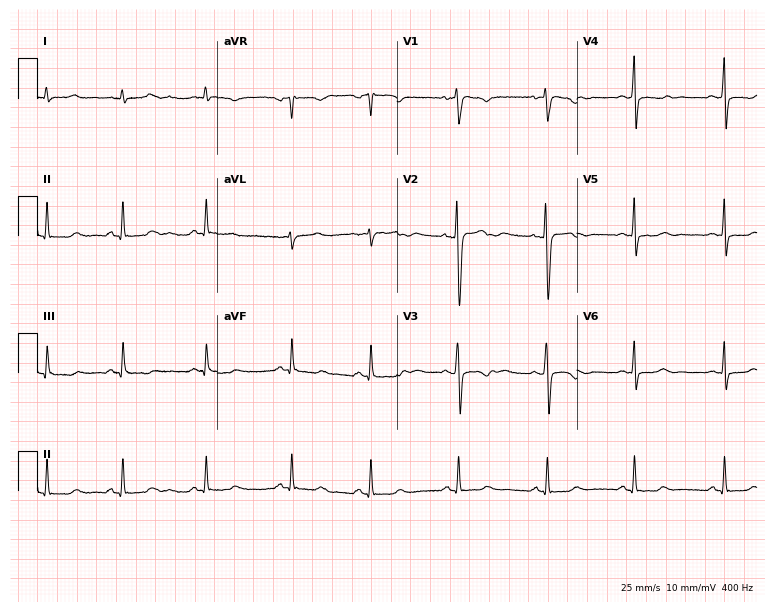
Standard 12-lead ECG recorded from a 19-year-old female. None of these six findings is recorded: first-degree AV block, right bundle branch block, left bundle branch block, sinus bradycardia, atrial fibrillation, sinus tachycardia.